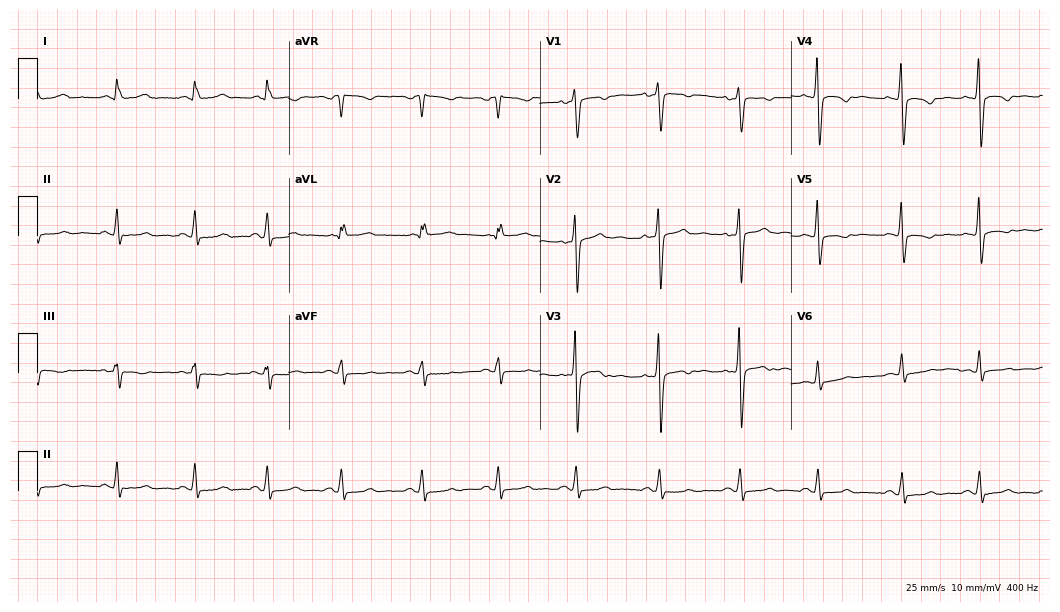
ECG — a female patient, 37 years old. Labelled as a normal ECG.